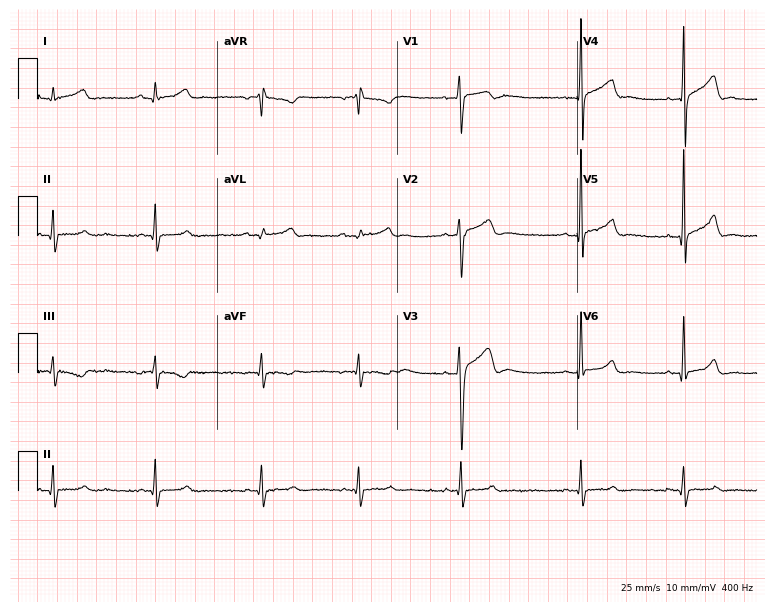
Electrocardiogram, a man, 17 years old. Overall reading on record: normal ECG.